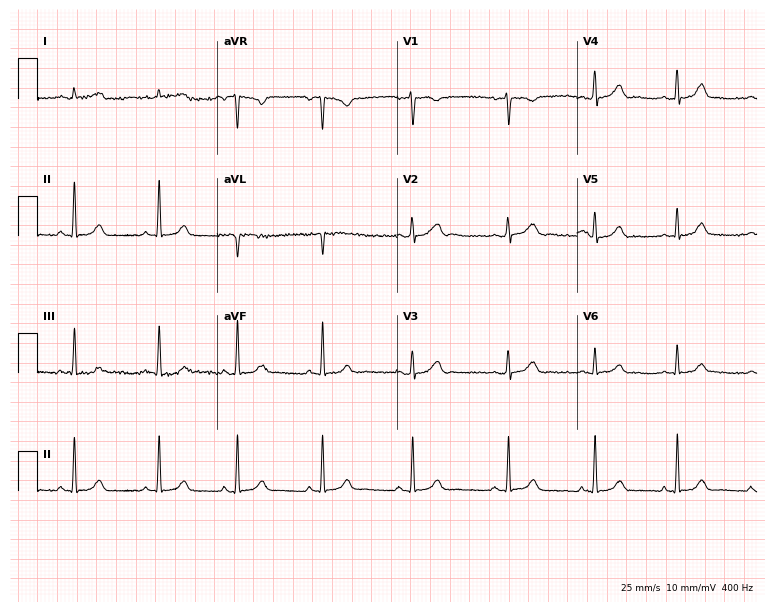
Standard 12-lead ECG recorded from a 25-year-old female patient (7.3-second recording at 400 Hz). None of these six findings is recorded: first-degree AV block, right bundle branch block, left bundle branch block, sinus bradycardia, atrial fibrillation, sinus tachycardia.